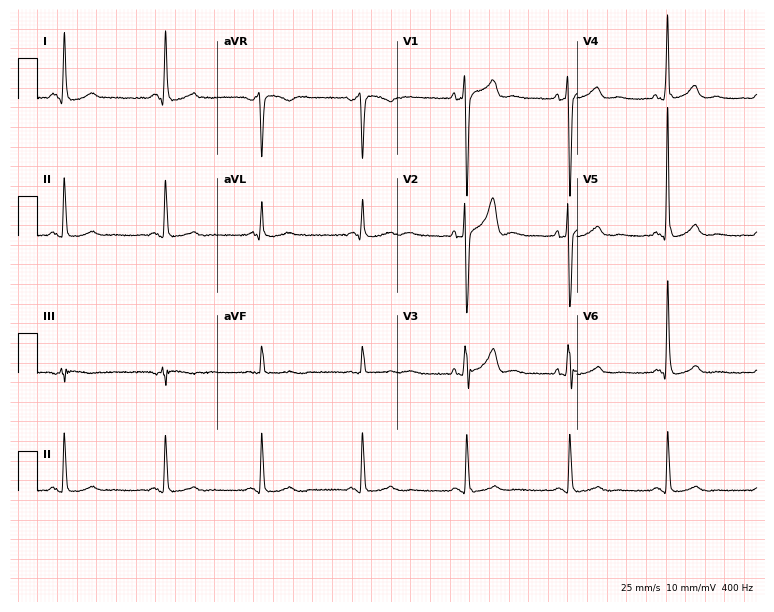
Standard 12-lead ECG recorded from a male, 47 years old (7.3-second recording at 400 Hz). None of these six findings is recorded: first-degree AV block, right bundle branch block, left bundle branch block, sinus bradycardia, atrial fibrillation, sinus tachycardia.